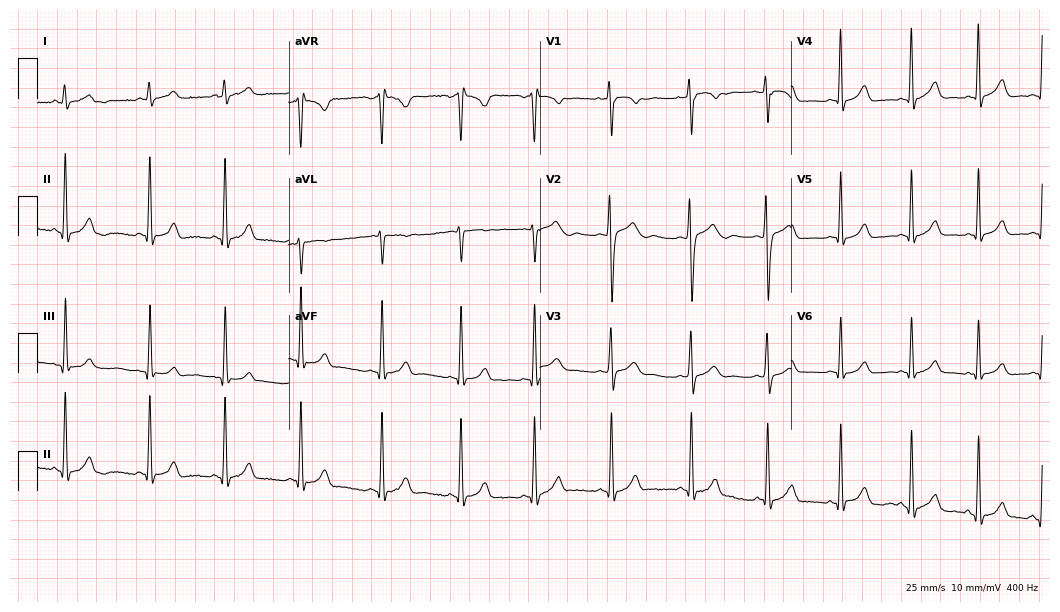
12-lead ECG from a 19-year-old female. Screened for six findings — first-degree AV block, right bundle branch block (RBBB), left bundle branch block (LBBB), sinus bradycardia, atrial fibrillation (AF), sinus tachycardia — none is recorded. Other findings, if any, are not listed.